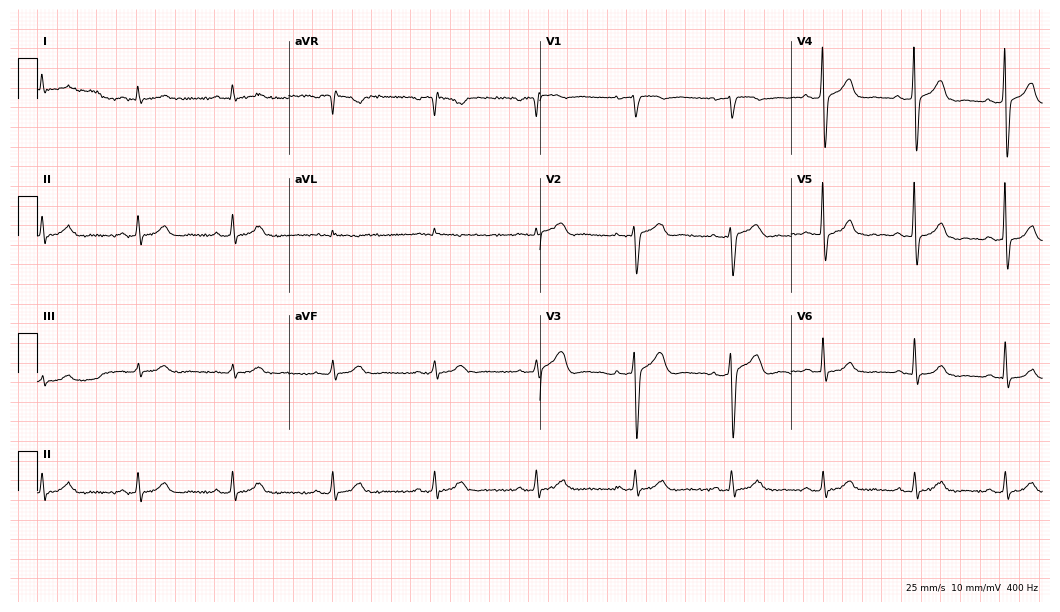
ECG (10.2-second recording at 400 Hz) — a man, 59 years old. Labelled as a normal ECG.